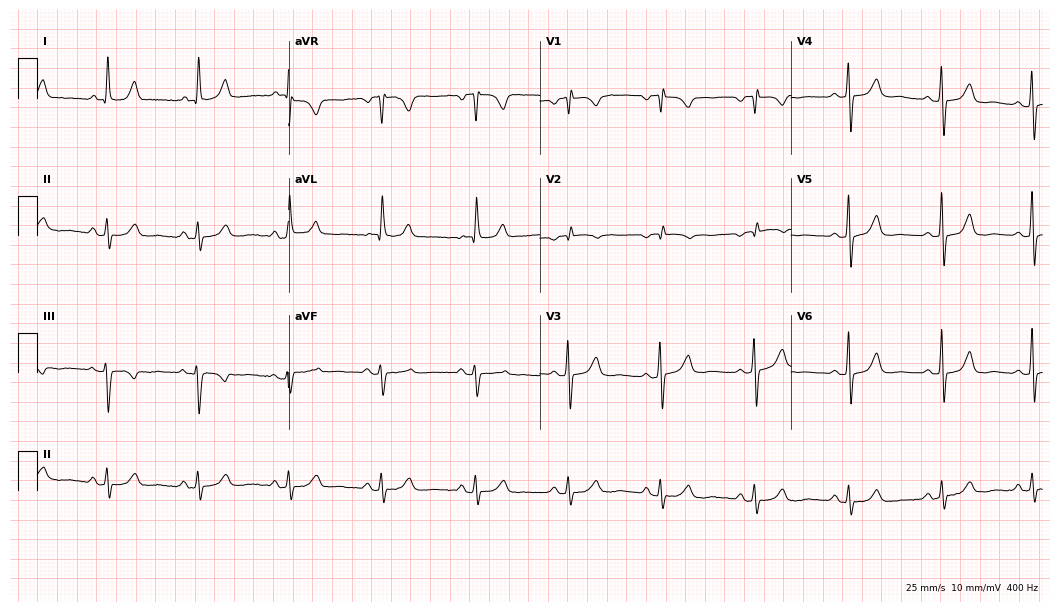
Standard 12-lead ECG recorded from a female patient, 70 years old (10.2-second recording at 400 Hz). None of these six findings is recorded: first-degree AV block, right bundle branch block, left bundle branch block, sinus bradycardia, atrial fibrillation, sinus tachycardia. Other findings, if any, are not listed.